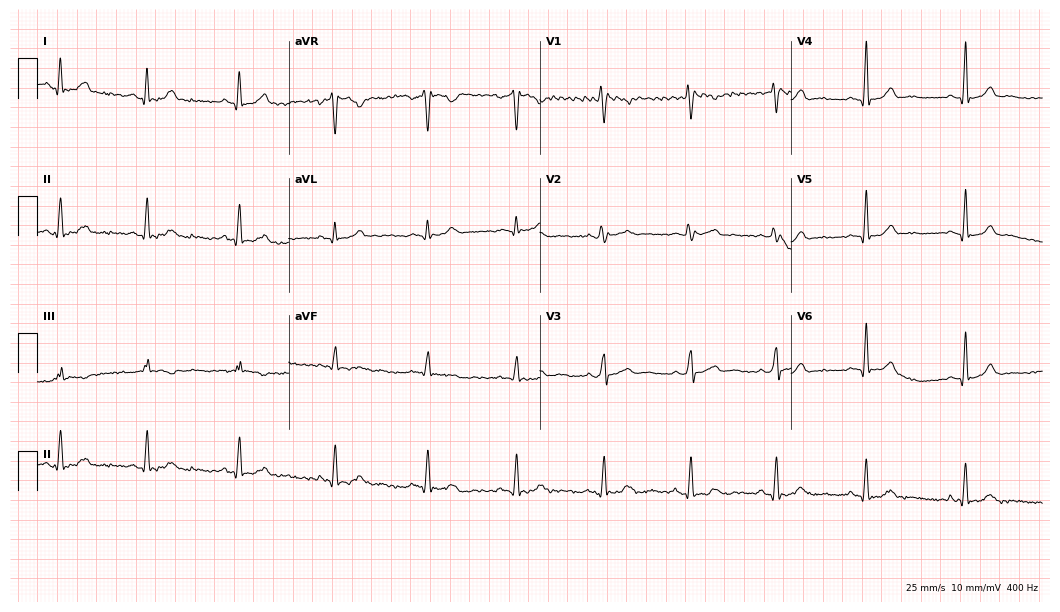
Standard 12-lead ECG recorded from a female, 36 years old. Read as a normal ECG.